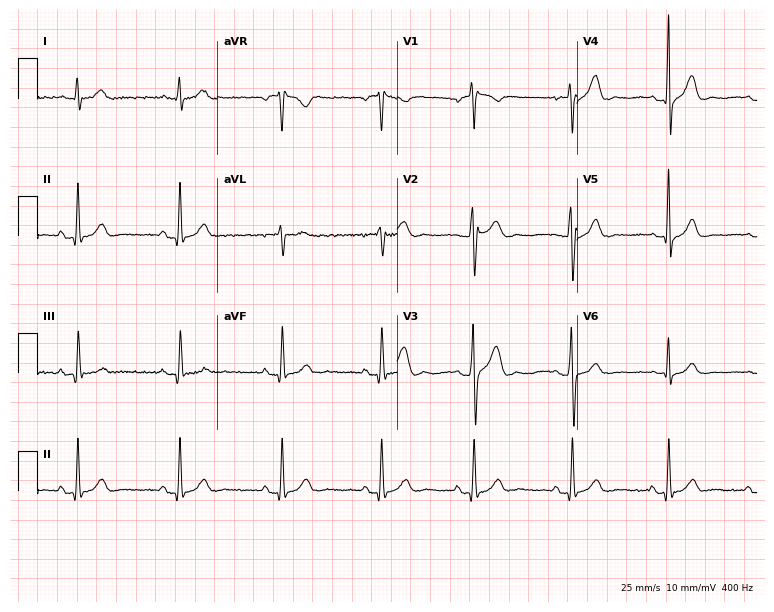
ECG — a male patient, 30 years old. Screened for six findings — first-degree AV block, right bundle branch block, left bundle branch block, sinus bradycardia, atrial fibrillation, sinus tachycardia — none is recorded.